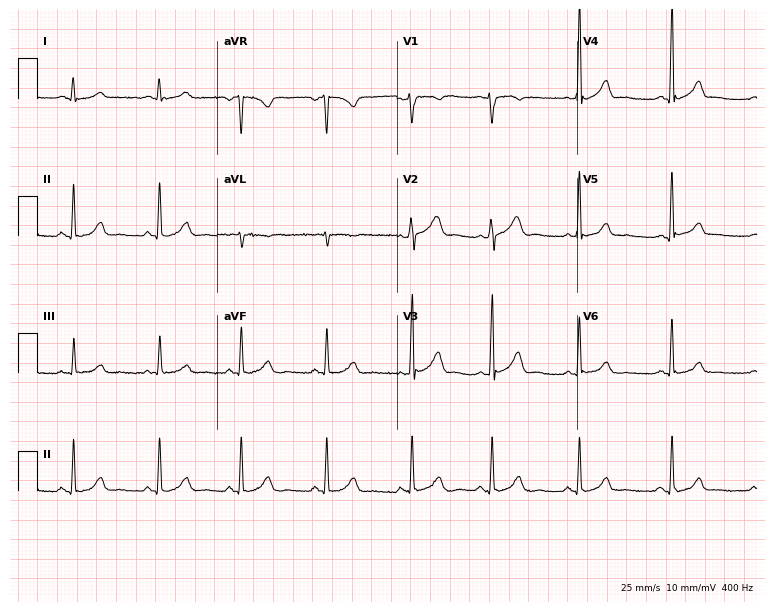
Resting 12-lead electrocardiogram. Patient: a 54-year-old female. None of these six findings is recorded: first-degree AV block, right bundle branch block (RBBB), left bundle branch block (LBBB), sinus bradycardia, atrial fibrillation (AF), sinus tachycardia. Only these six findings were labelled.